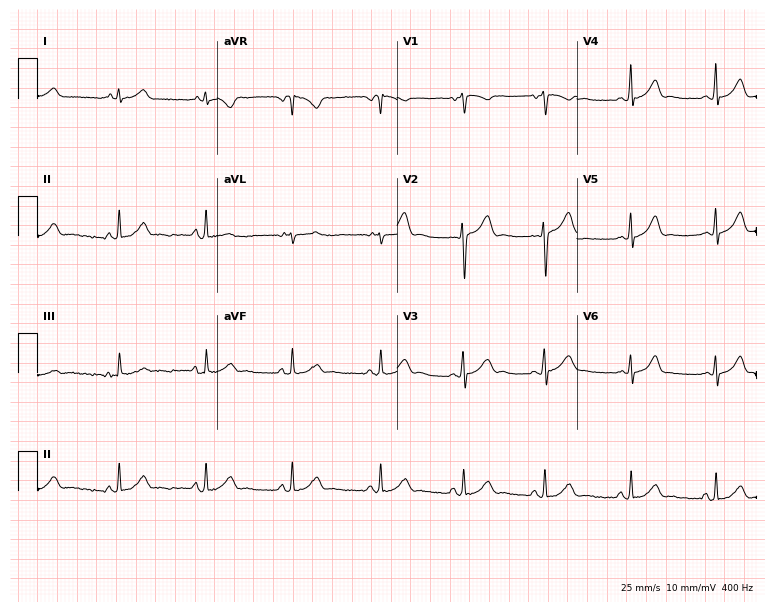
Resting 12-lead electrocardiogram. Patient: a 22-year-old female. None of these six findings is recorded: first-degree AV block, right bundle branch block, left bundle branch block, sinus bradycardia, atrial fibrillation, sinus tachycardia. Only these six findings were labelled.